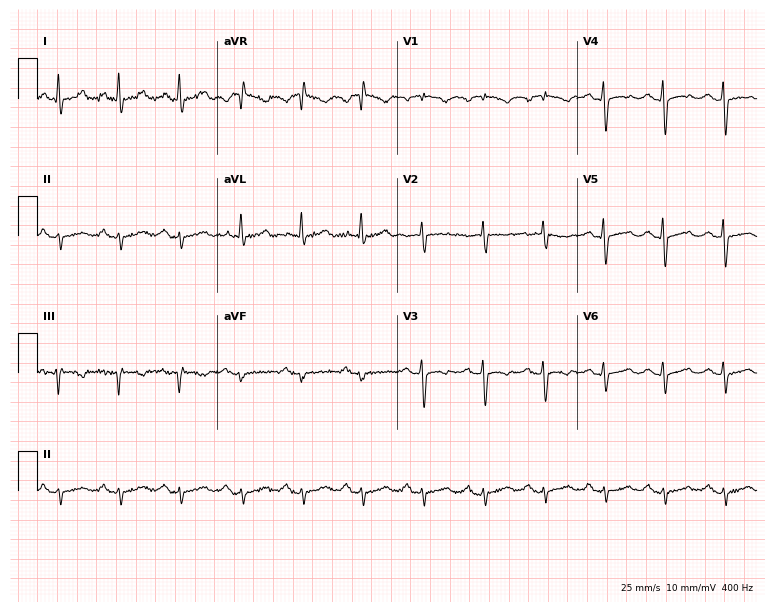
Resting 12-lead electrocardiogram (7.3-second recording at 400 Hz). Patient: a woman, 73 years old. None of these six findings is recorded: first-degree AV block, right bundle branch block, left bundle branch block, sinus bradycardia, atrial fibrillation, sinus tachycardia. Other findings, if any, are not listed.